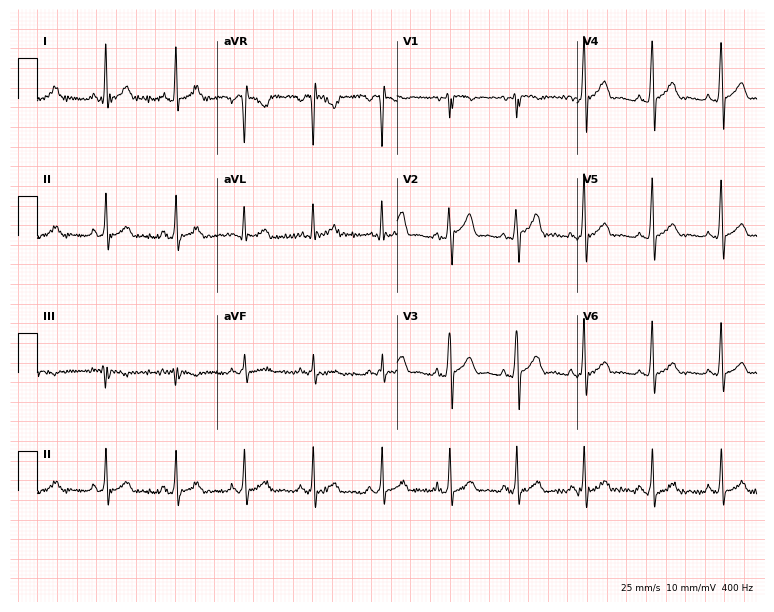
Electrocardiogram (7.3-second recording at 400 Hz), a male patient, 40 years old. Overall reading on record: normal ECG.